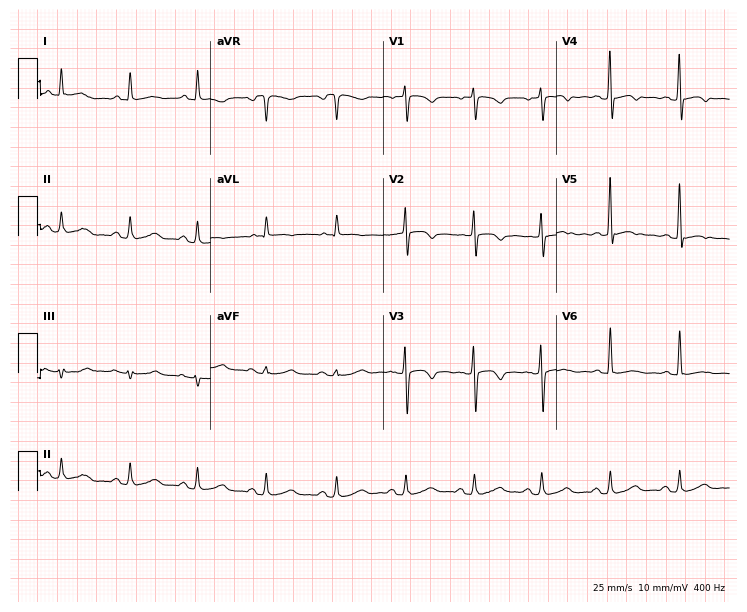
Resting 12-lead electrocardiogram (7.1-second recording at 400 Hz). Patient: a female, 68 years old. None of these six findings is recorded: first-degree AV block, right bundle branch block, left bundle branch block, sinus bradycardia, atrial fibrillation, sinus tachycardia.